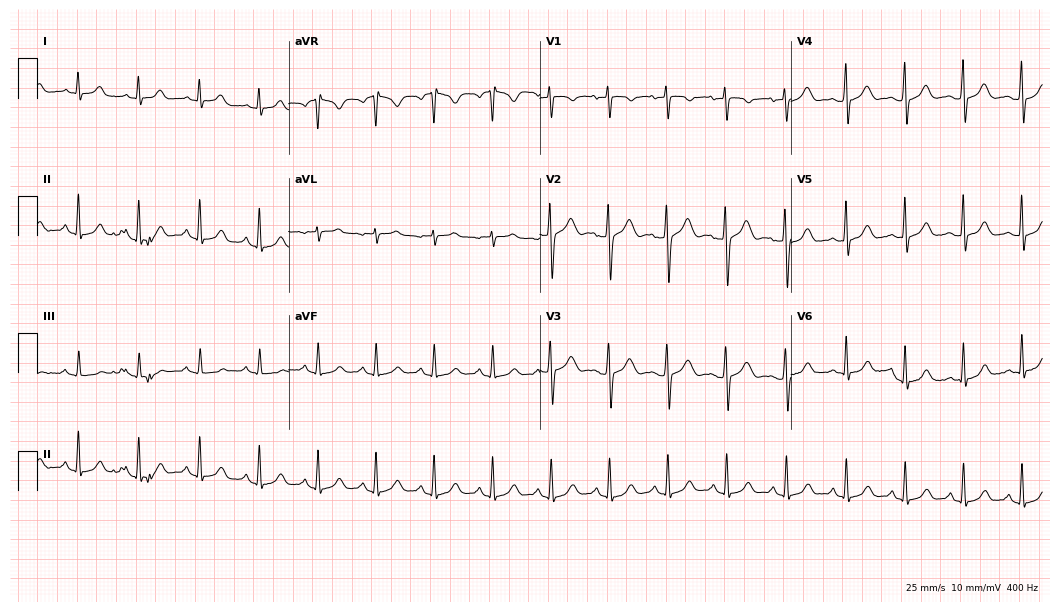
12-lead ECG from a female patient, 18 years old. Labelled as a normal ECG.